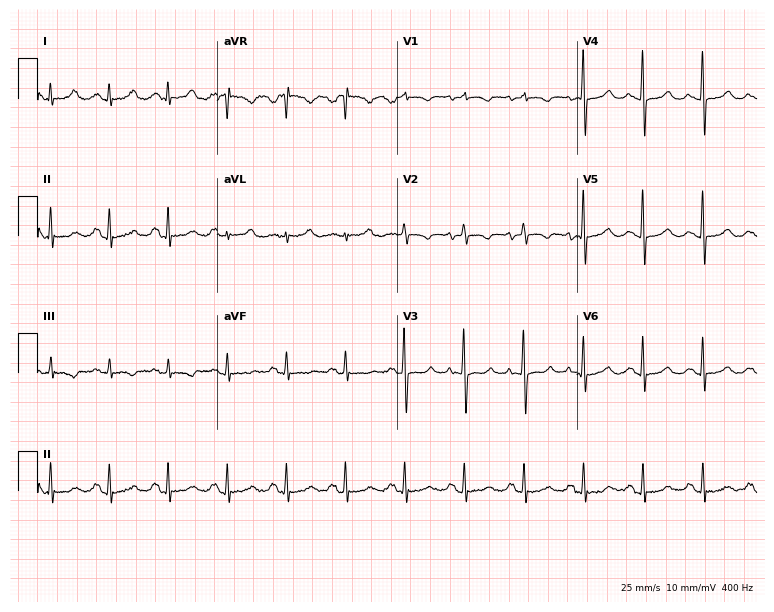
Electrocardiogram (7.3-second recording at 400 Hz), a female patient, 48 years old. Of the six screened findings (first-degree AV block, right bundle branch block (RBBB), left bundle branch block (LBBB), sinus bradycardia, atrial fibrillation (AF), sinus tachycardia), none is recorded. Only these six findings were labelled.